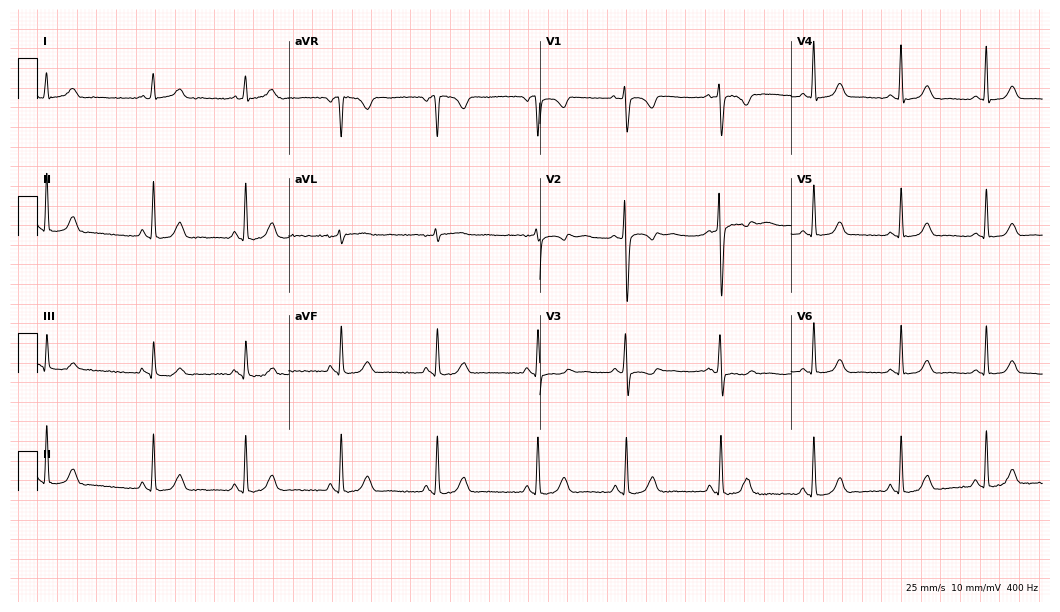
Resting 12-lead electrocardiogram. Patient: a female, 25 years old. None of these six findings is recorded: first-degree AV block, right bundle branch block, left bundle branch block, sinus bradycardia, atrial fibrillation, sinus tachycardia.